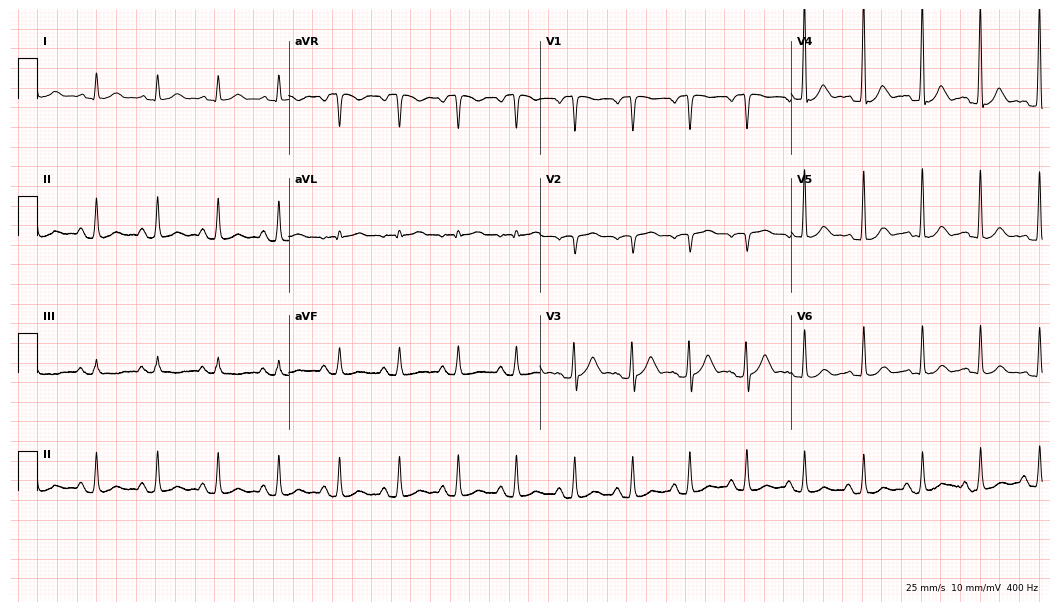
12-lead ECG from a 51-year-old male patient. Screened for six findings — first-degree AV block, right bundle branch block, left bundle branch block, sinus bradycardia, atrial fibrillation, sinus tachycardia — none is recorded.